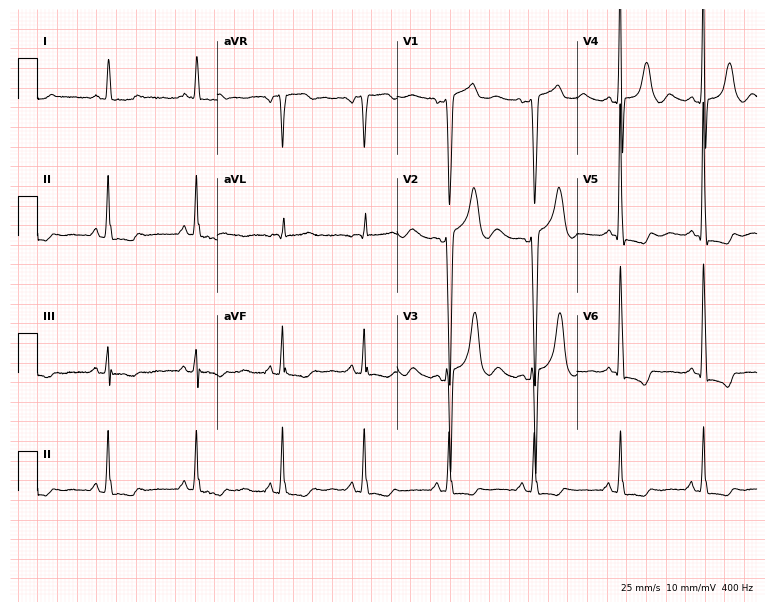
12-lead ECG from a man, 58 years old (7.3-second recording at 400 Hz). No first-degree AV block, right bundle branch block, left bundle branch block, sinus bradycardia, atrial fibrillation or sinus tachycardia recorded for this tracing.